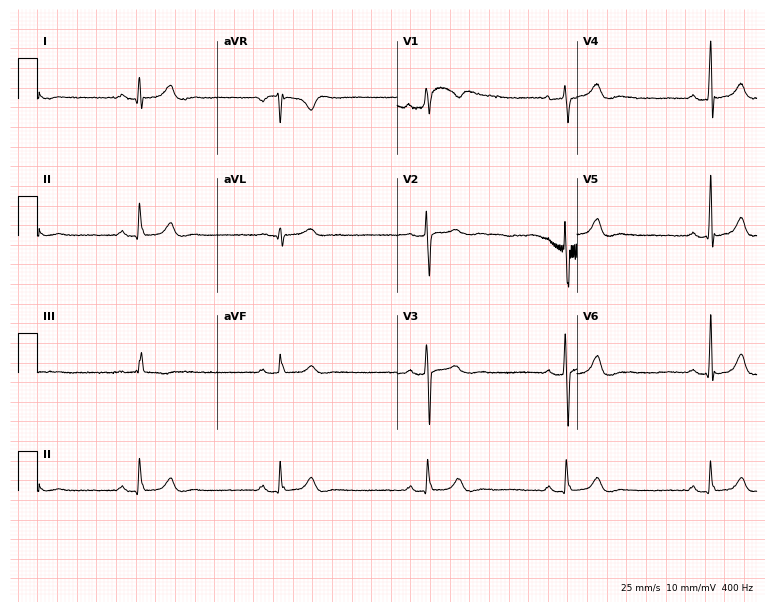
12-lead ECG (7.3-second recording at 400 Hz) from a male, 38 years old. Screened for six findings — first-degree AV block, right bundle branch block, left bundle branch block, sinus bradycardia, atrial fibrillation, sinus tachycardia — none is recorded. Only these six findings were labelled.